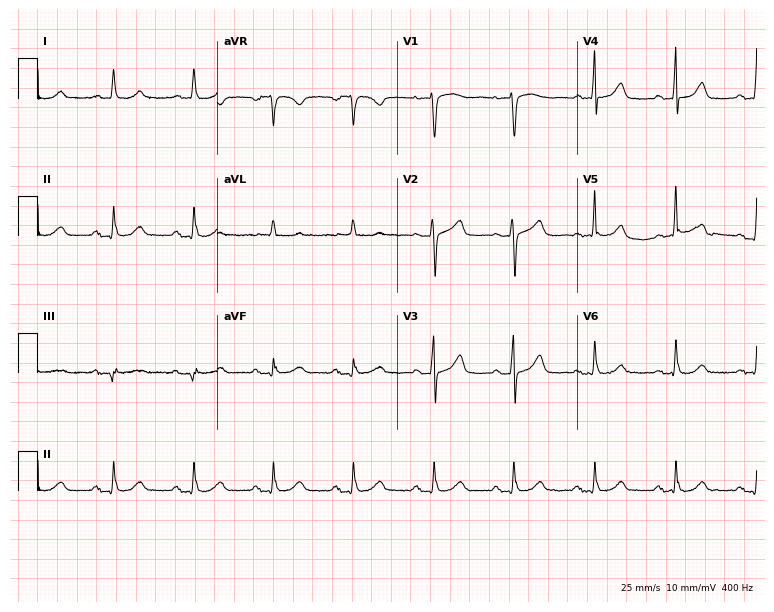
Standard 12-lead ECG recorded from a female, 83 years old. None of these six findings is recorded: first-degree AV block, right bundle branch block, left bundle branch block, sinus bradycardia, atrial fibrillation, sinus tachycardia. Only these six findings were labelled.